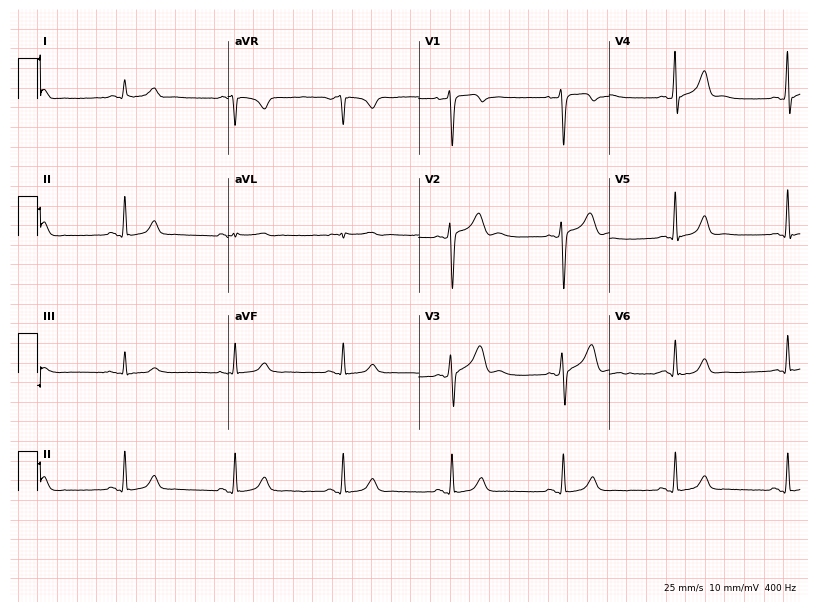
12-lead ECG from a male, 43 years old (7.8-second recording at 400 Hz). No first-degree AV block, right bundle branch block (RBBB), left bundle branch block (LBBB), sinus bradycardia, atrial fibrillation (AF) or sinus tachycardia recorded for this tracing.